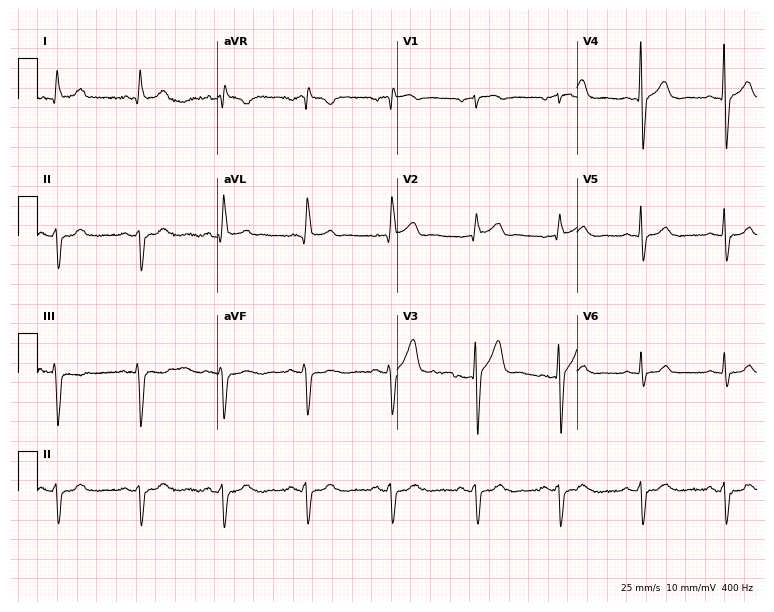
Resting 12-lead electrocardiogram. Patient: a 78-year-old male. None of these six findings is recorded: first-degree AV block, right bundle branch block, left bundle branch block, sinus bradycardia, atrial fibrillation, sinus tachycardia.